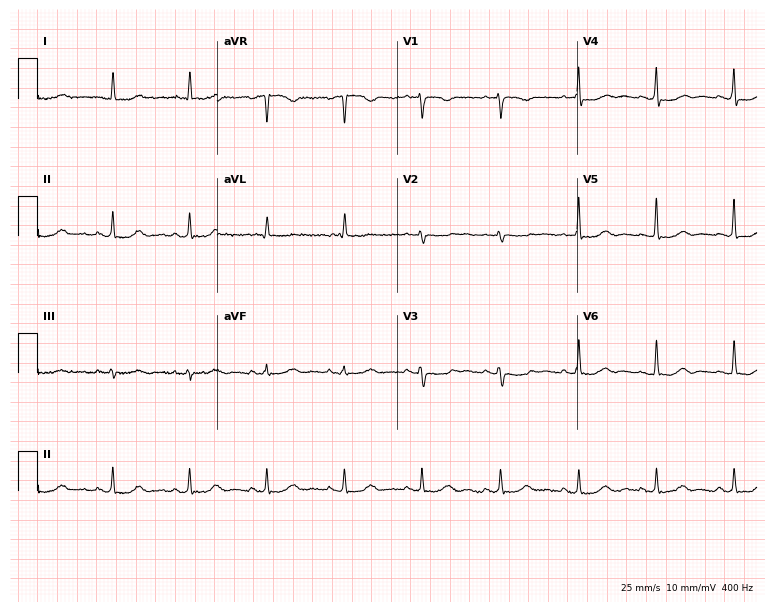
Resting 12-lead electrocardiogram (7.3-second recording at 400 Hz). Patient: an 82-year-old female. None of these six findings is recorded: first-degree AV block, right bundle branch block, left bundle branch block, sinus bradycardia, atrial fibrillation, sinus tachycardia. Only these six findings were labelled.